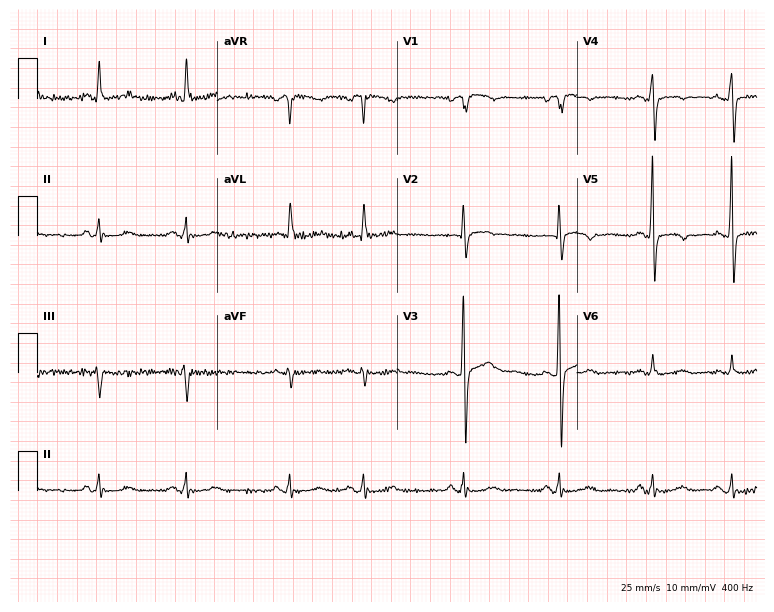
Electrocardiogram (7.3-second recording at 400 Hz), a male, 75 years old. Of the six screened findings (first-degree AV block, right bundle branch block, left bundle branch block, sinus bradycardia, atrial fibrillation, sinus tachycardia), none is recorded. Only these six findings were labelled.